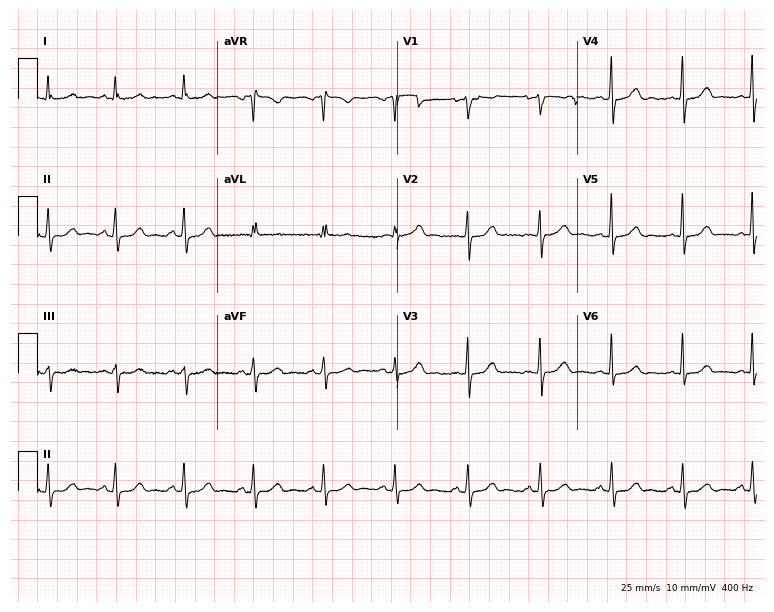
Resting 12-lead electrocardiogram (7.3-second recording at 400 Hz). Patient: a 42-year-old female. None of these six findings is recorded: first-degree AV block, right bundle branch block, left bundle branch block, sinus bradycardia, atrial fibrillation, sinus tachycardia. Findings outside these six are not listed.